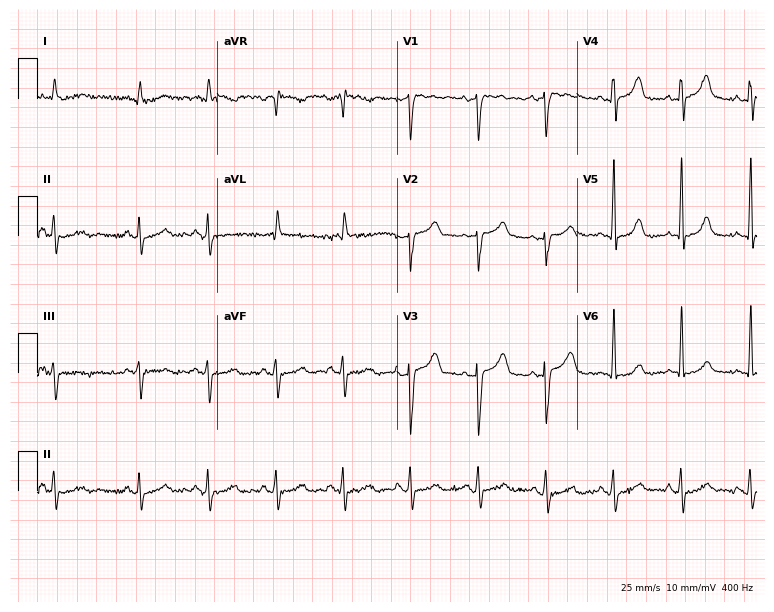
12-lead ECG from a male, 81 years old. Labelled as a normal ECG.